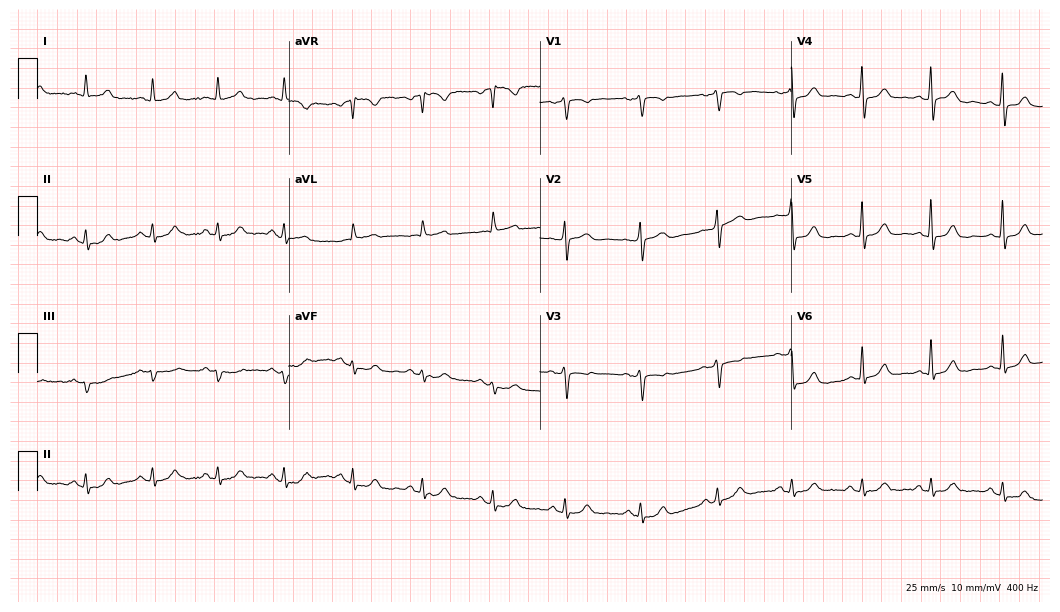
Electrocardiogram (10.2-second recording at 400 Hz), a 66-year-old female. Overall reading on record: normal ECG.